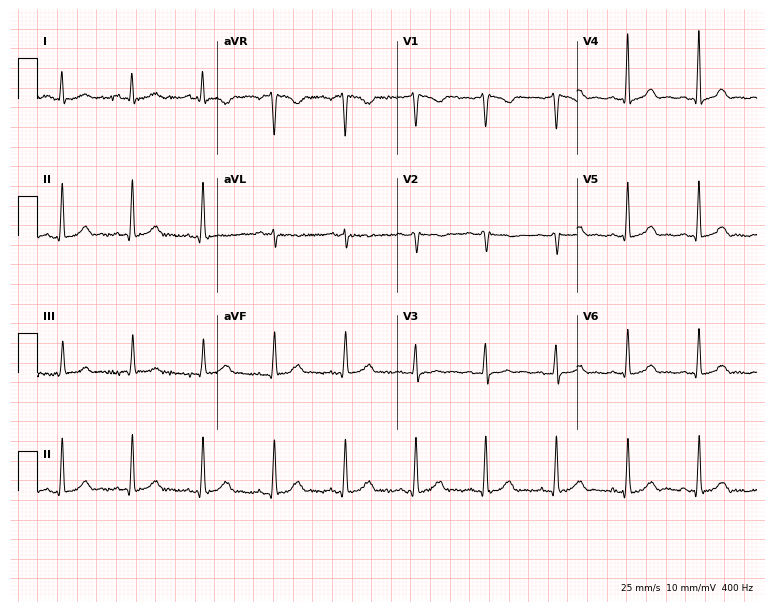
ECG — a 66-year-old female. Labelled as a normal ECG.